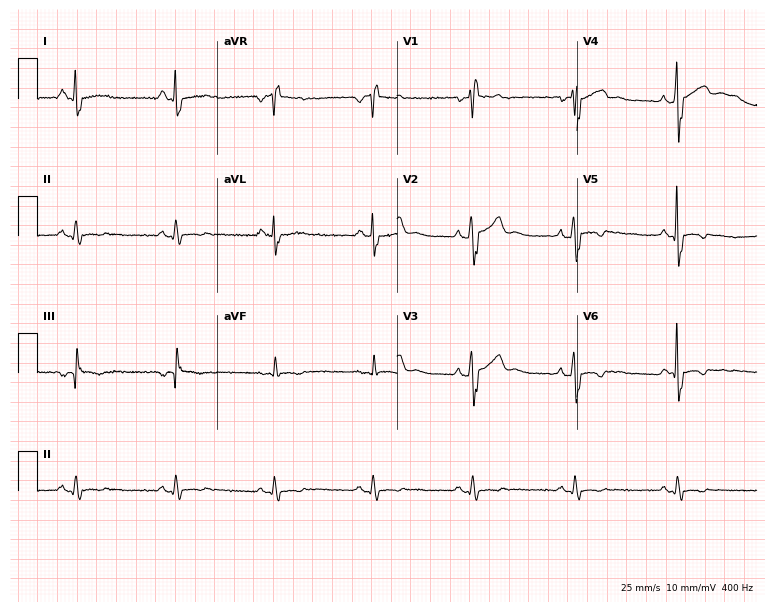
Standard 12-lead ECG recorded from a male, 43 years old. None of these six findings is recorded: first-degree AV block, right bundle branch block (RBBB), left bundle branch block (LBBB), sinus bradycardia, atrial fibrillation (AF), sinus tachycardia. Findings outside these six are not listed.